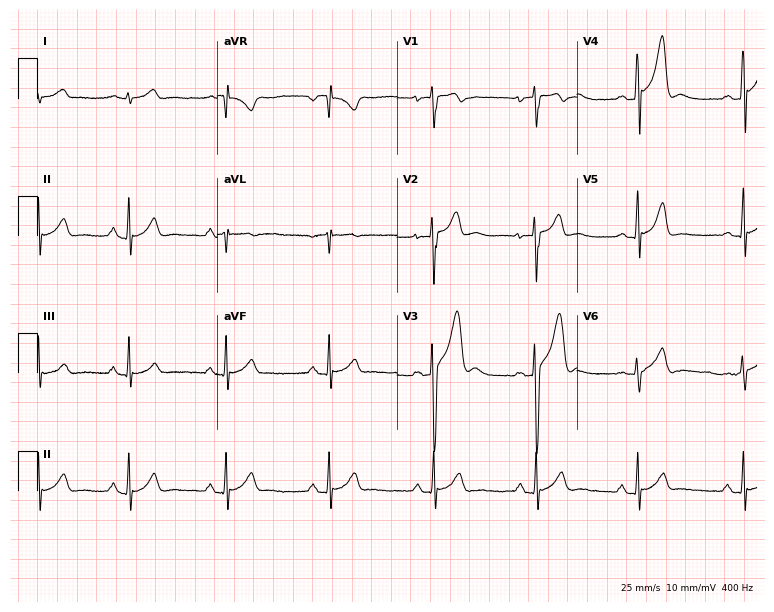
Electrocardiogram, a 20-year-old male patient. Of the six screened findings (first-degree AV block, right bundle branch block, left bundle branch block, sinus bradycardia, atrial fibrillation, sinus tachycardia), none is recorded.